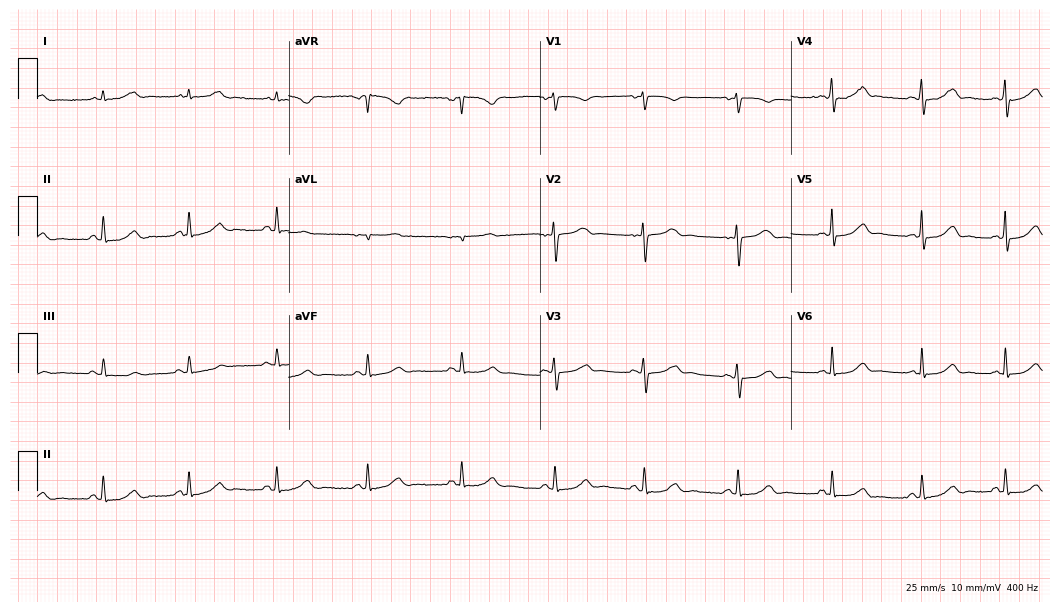
Resting 12-lead electrocardiogram (10.2-second recording at 400 Hz). Patient: a woman, 37 years old. Read as a normal ECG.